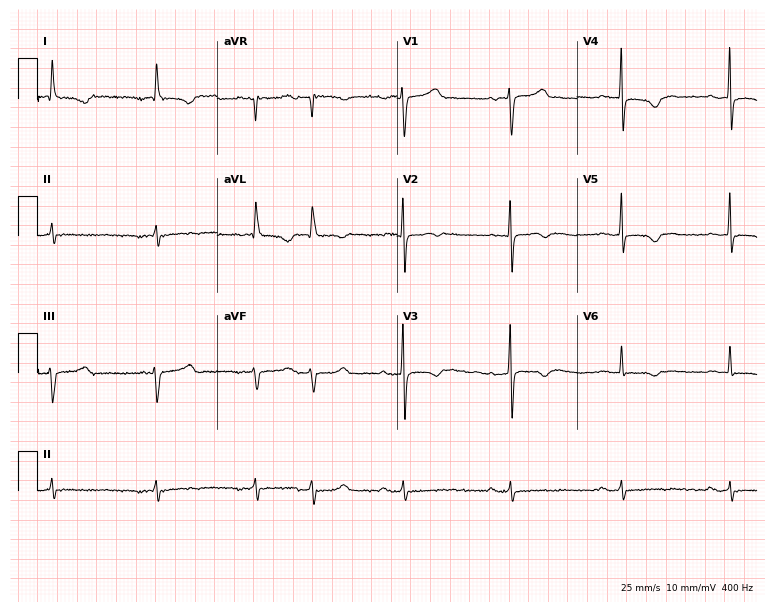
ECG (7.3-second recording at 400 Hz) — a male patient, 84 years old. Screened for six findings — first-degree AV block, right bundle branch block, left bundle branch block, sinus bradycardia, atrial fibrillation, sinus tachycardia — none is recorded. Only these six findings were labelled.